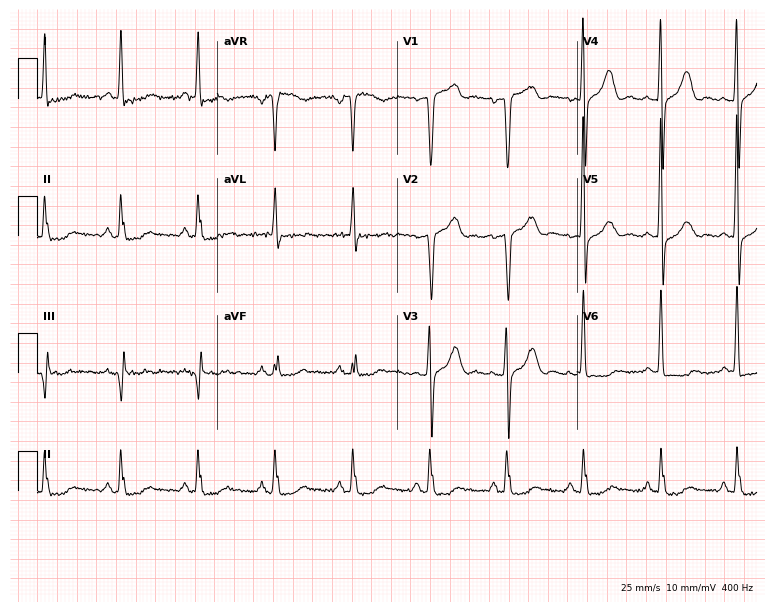
Standard 12-lead ECG recorded from a man, 68 years old. None of these six findings is recorded: first-degree AV block, right bundle branch block (RBBB), left bundle branch block (LBBB), sinus bradycardia, atrial fibrillation (AF), sinus tachycardia. Only these six findings were labelled.